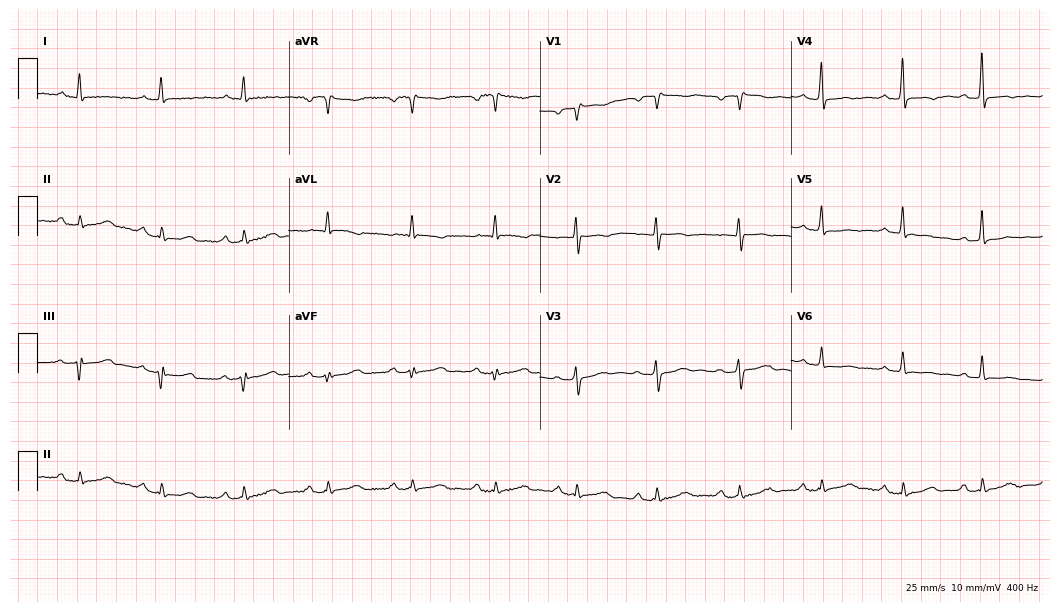
Standard 12-lead ECG recorded from a female, 54 years old (10.2-second recording at 400 Hz). None of these six findings is recorded: first-degree AV block, right bundle branch block, left bundle branch block, sinus bradycardia, atrial fibrillation, sinus tachycardia.